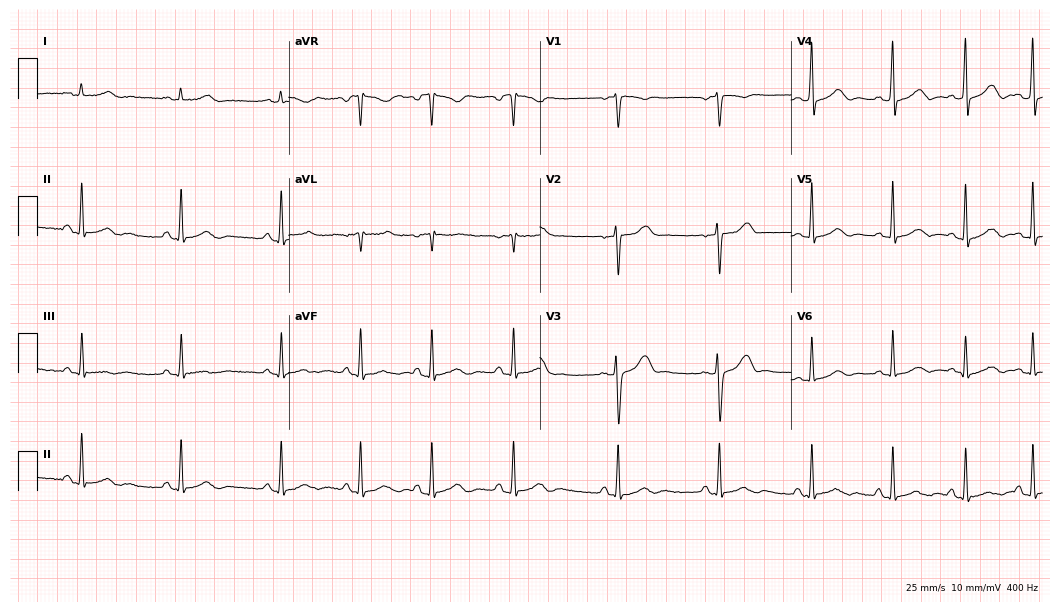
Standard 12-lead ECG recorded from a female, 22 years old (10.2-second recording at 400 Hz). Read as a normal ECG.